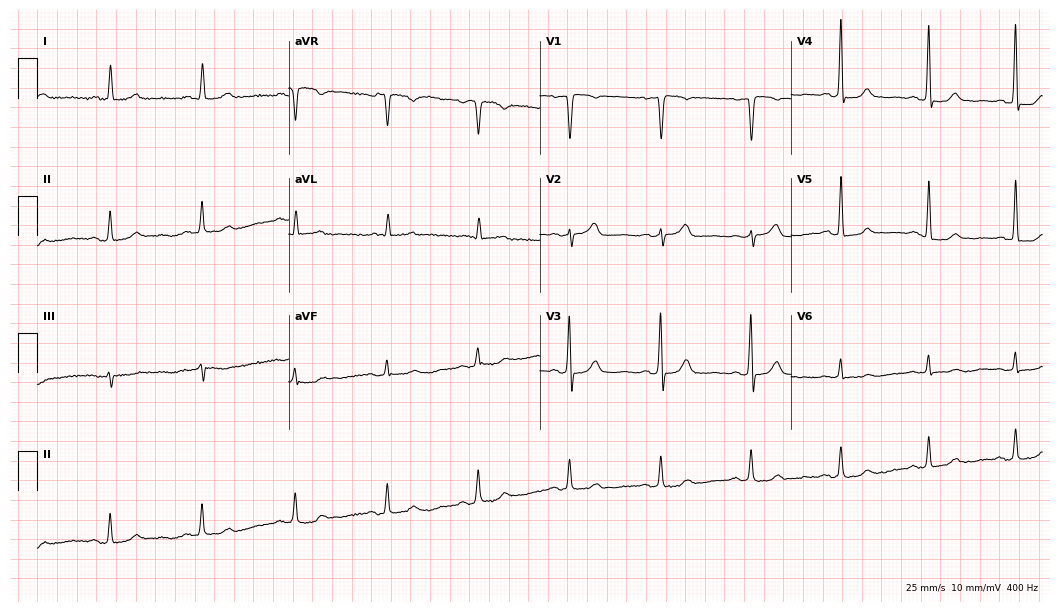
Resting 12-lead electrocardiogram (10.2-second recording at 400 Hz). Patient: a female, 56 years old. Read as a normal ECG.